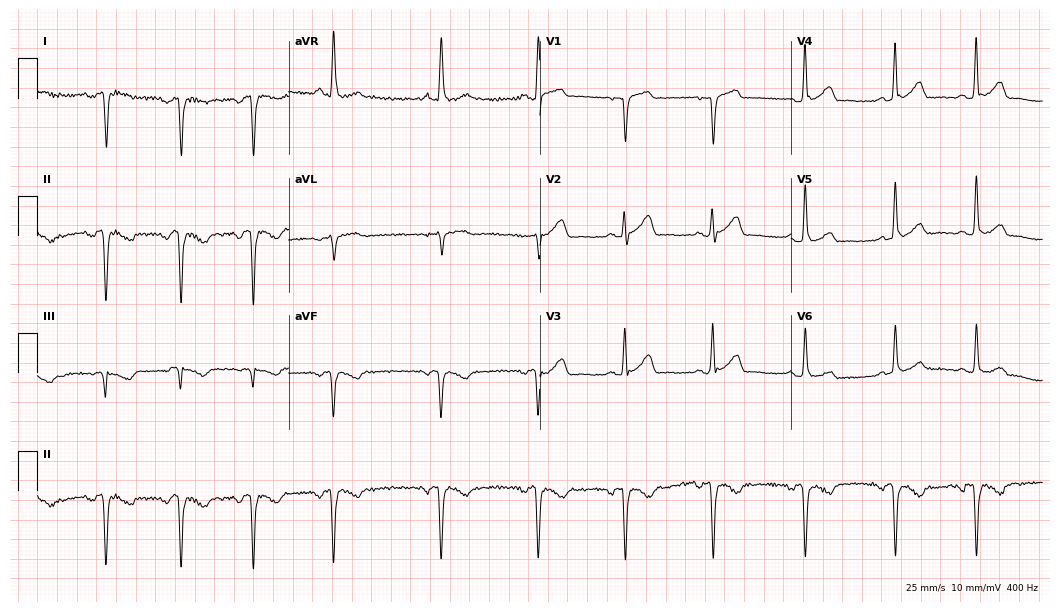
12-lead ECG from a man, 47 years old (10.2-second recording at 400 Hz). No first-degree AV block, right bundle branch block (RBBB), left bundle branch block (LBBB), sinus bradycardia, atrial fibrillation (AF) or sinus tachycardia recorded for this tracing. Only these six findings were labelled.